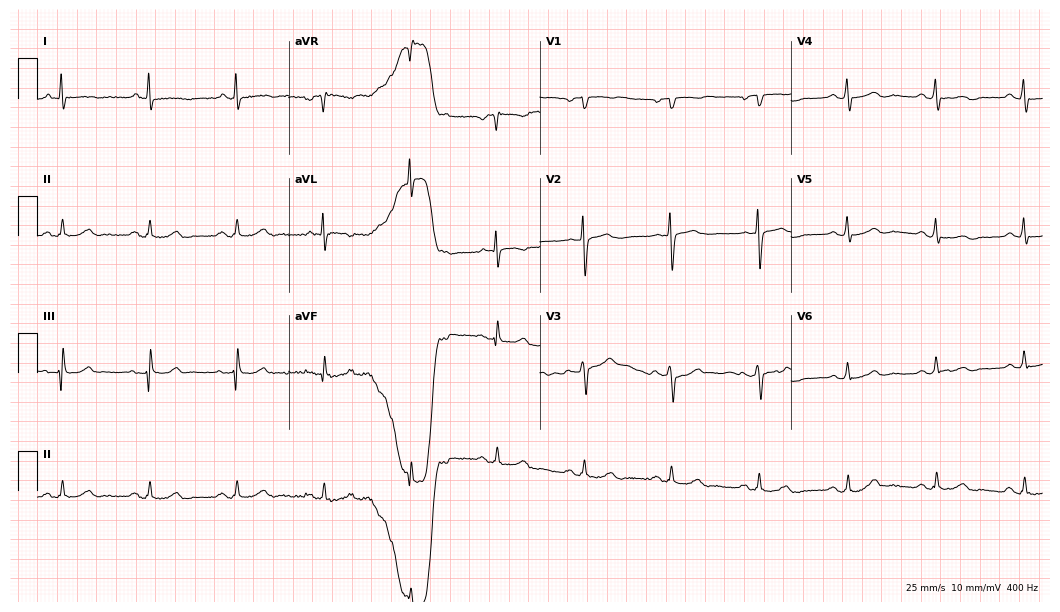
12-lead ECG from a man, 61 years old (10.2-second recording at 400 Hz). Recorded interpretation: within normal limits.